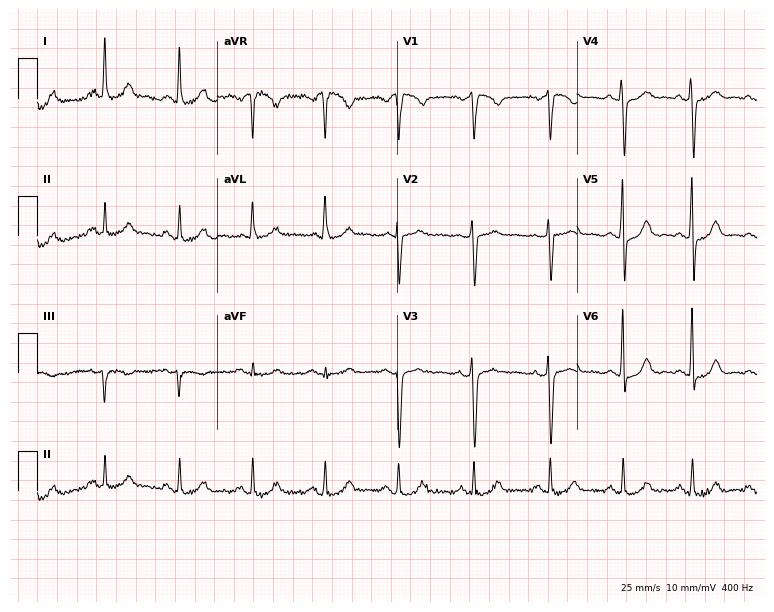
ECG (7.3-second recording at 400 Hz) — a 34-year-old woman. Labelled as a normal ECG.